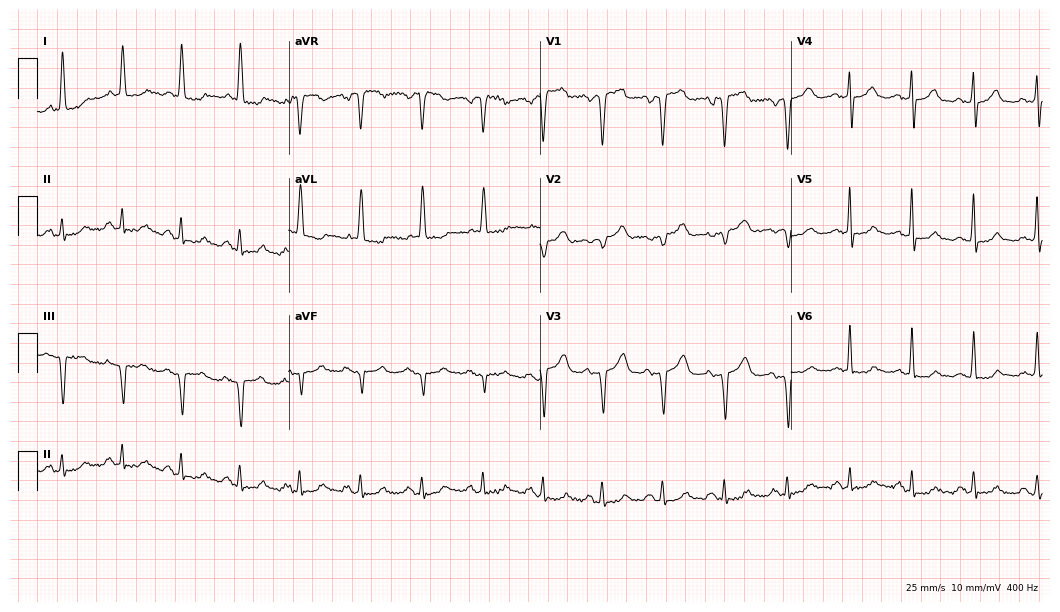
Standard 12-lead ECG recorded from a 77-year-old woman. None of these six findings is recorded: first-degree AV block, right bundle branch block (RBBB), left bundle branch block (LBBB), sinus bradycardia, atrial fibrillation (AF), sinus tachycardia.